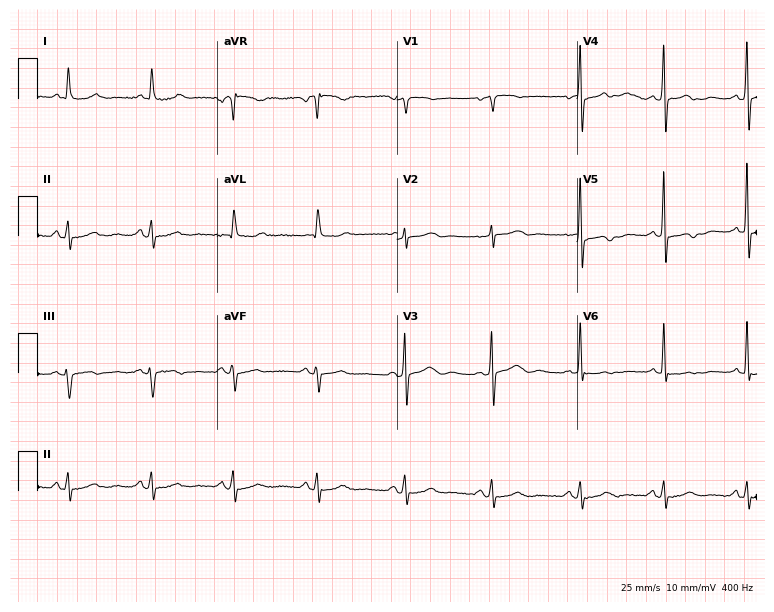
12-lead ECG (7.3-second recording at 400 Hz) from a female, 68 years old. Screened for six findings — first-degree AV block, right bundle branch block (RBBB), left bundle branch block (LBBB), sinus bradycardia, atrial fibrillation (AF), sinus tachycardia — none is recorded.